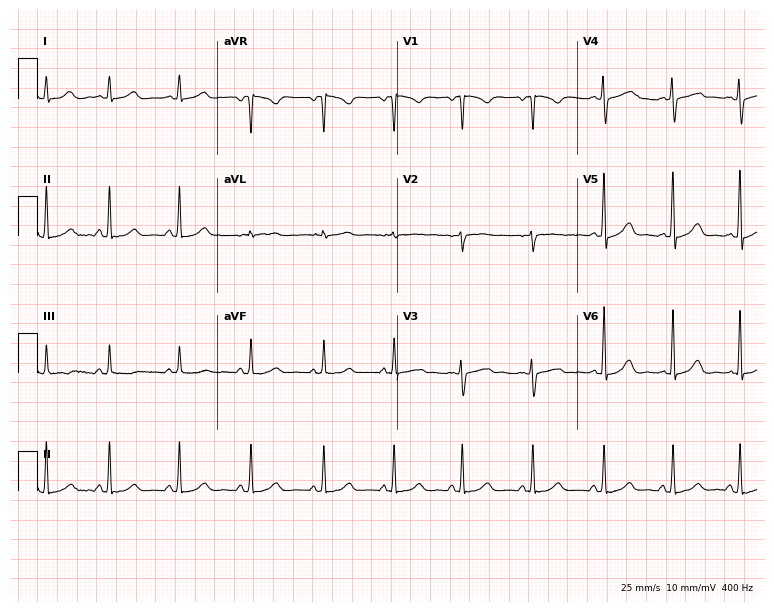
12-lead ECG from a woman, 39 years old. Recorded interpretation: within normal limits.